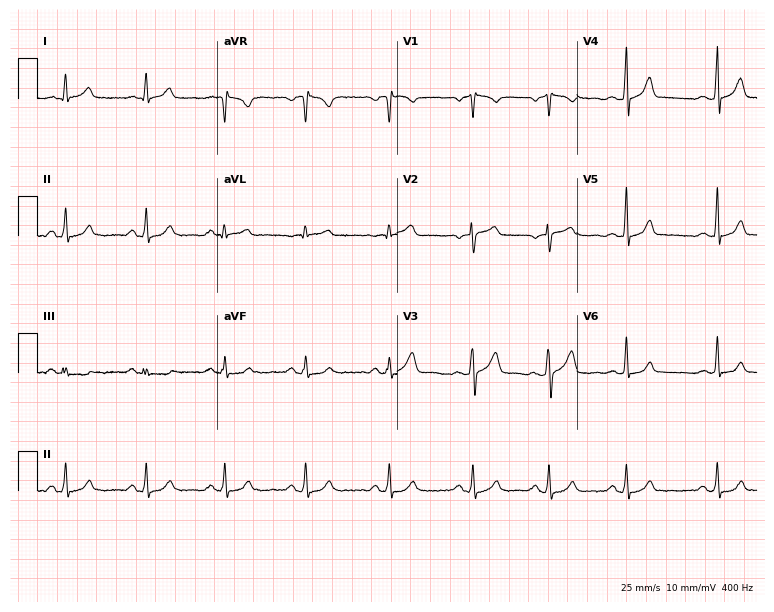
12-lead ECG (7.3-second recording at 400 Hz) from a 43-year-old male. Labelled as a normal ECG.